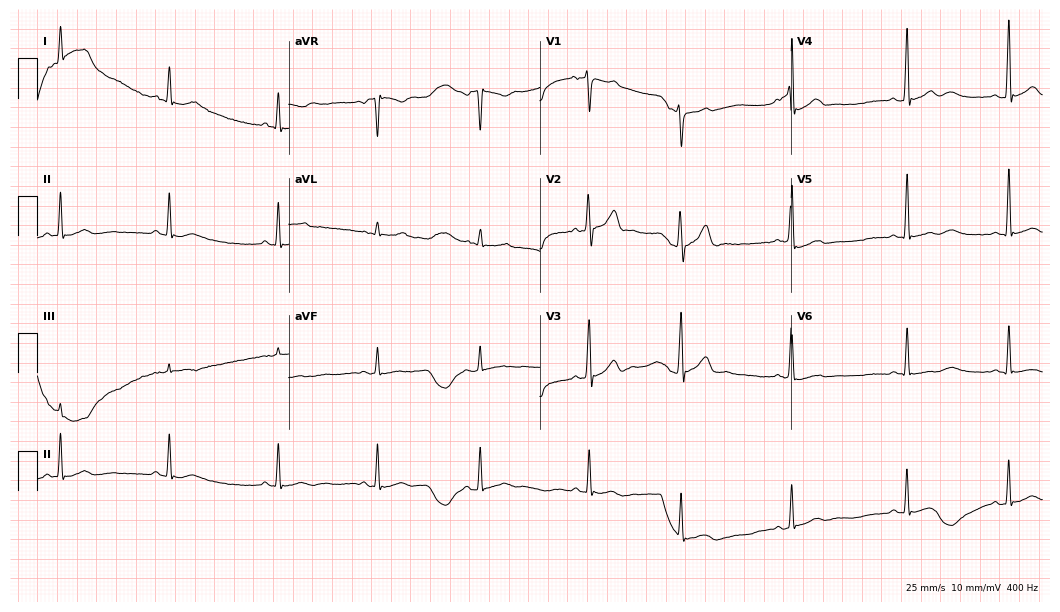
Electrocardiogram, a 28-year-old male. Overall reading on record: normal ECG.